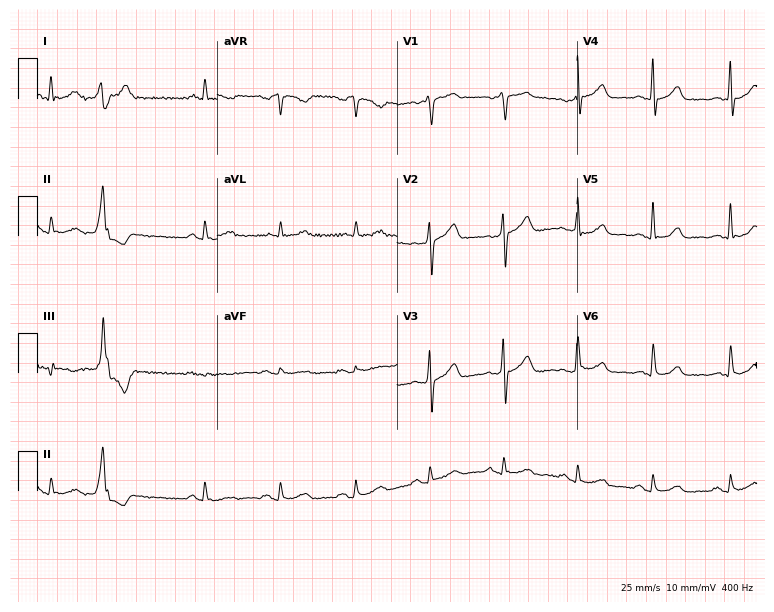
12-lead ECG from a male, 66 years old. Screened for six findings — first-degree AV block, right bundle branch block, left bundle branch block, sinus bradycardia, atrial fibrillation, sinus tachycardia — none is recorded.